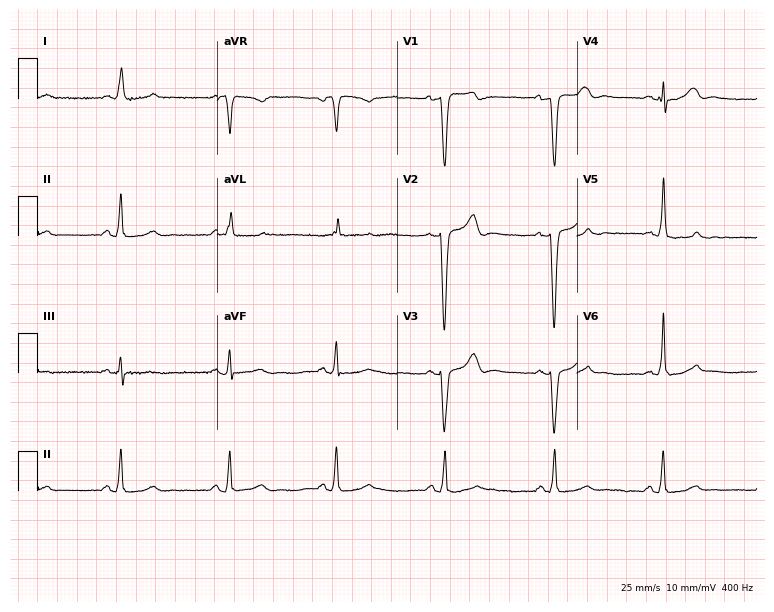
Standard 12-lead ECG recorded from a 71-year-old female (7.3-second recording at 400 Hz). Read as a normal ECG.